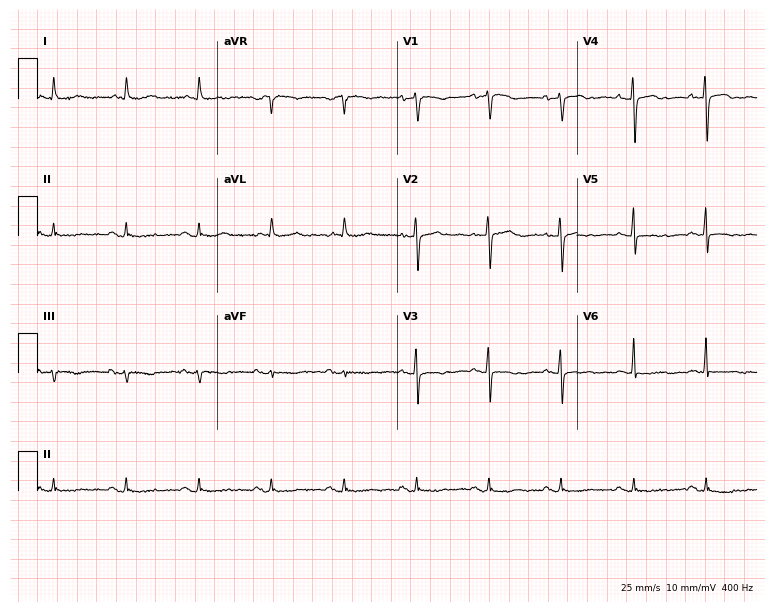
12-lead ECG from a 72-year-old woman (7.3-second recording at 400 Hz). No first-degree AV block, right bundle branch block, left bundle branch block, sinus bradycardia, atrial fibrillation or sinus tachycardia recorded for this tracing. Other findings, if any, are not listed.